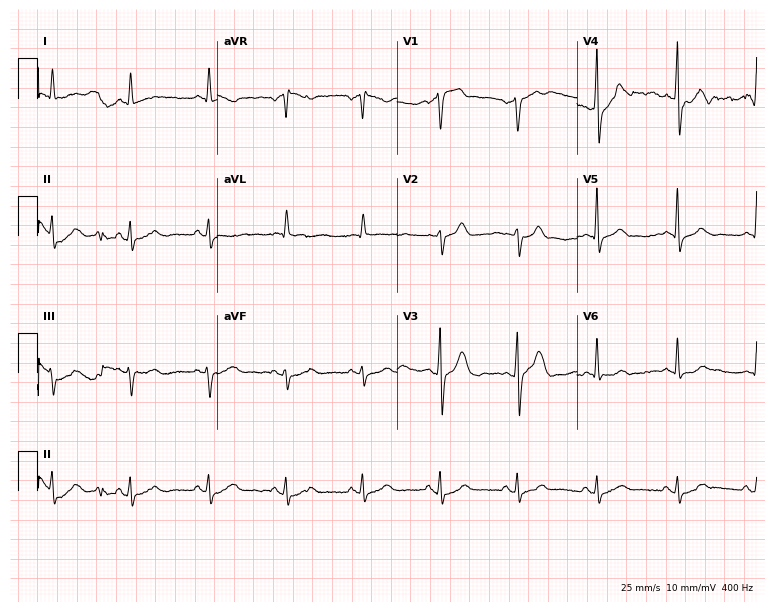
Standard 12-lead ECG recorded from a 51-year-old male. None of these six findings is recorded: first-degree AV block, right bundle branch block, left bundle branch block, sinus bradycardia, atrial fibrillation, sinus tachycardia.